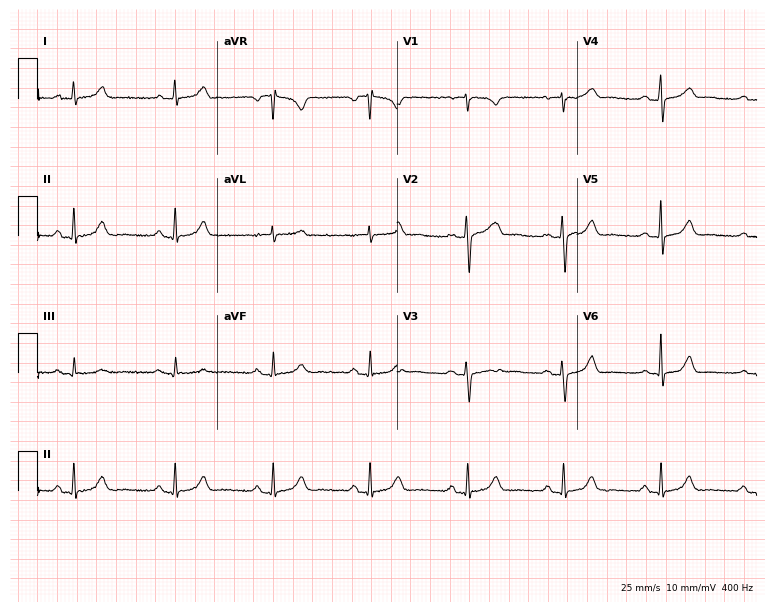
Resting 12-lead electrocardiogram. Patient: a 35-year-old female. None of these six findings is recorded: first-degree AV block, right bundle branch block, left bundle branch block, sinus bradycardia, atrial fibrillation, sinus tachycardia.